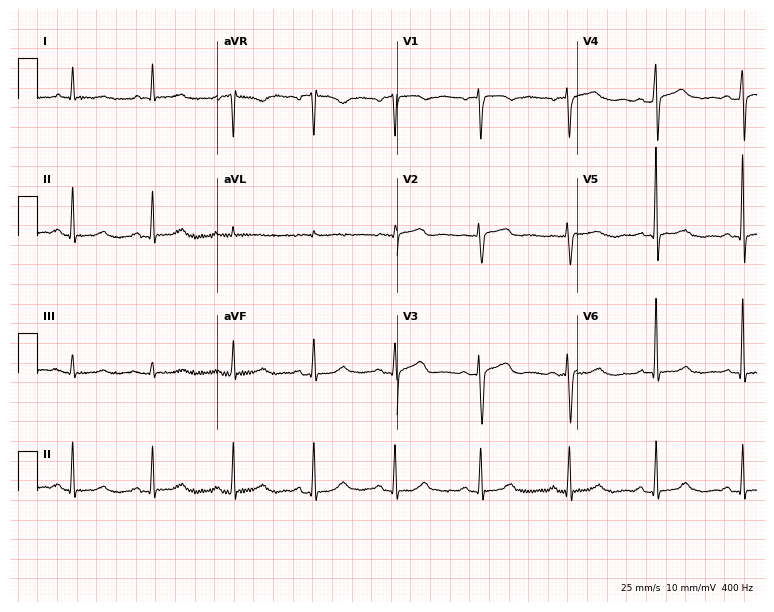
12-lead ECG from a female patient, 81 years old (7.3-second recording at 400 Hz). Recorded interpretation: within normal limits.